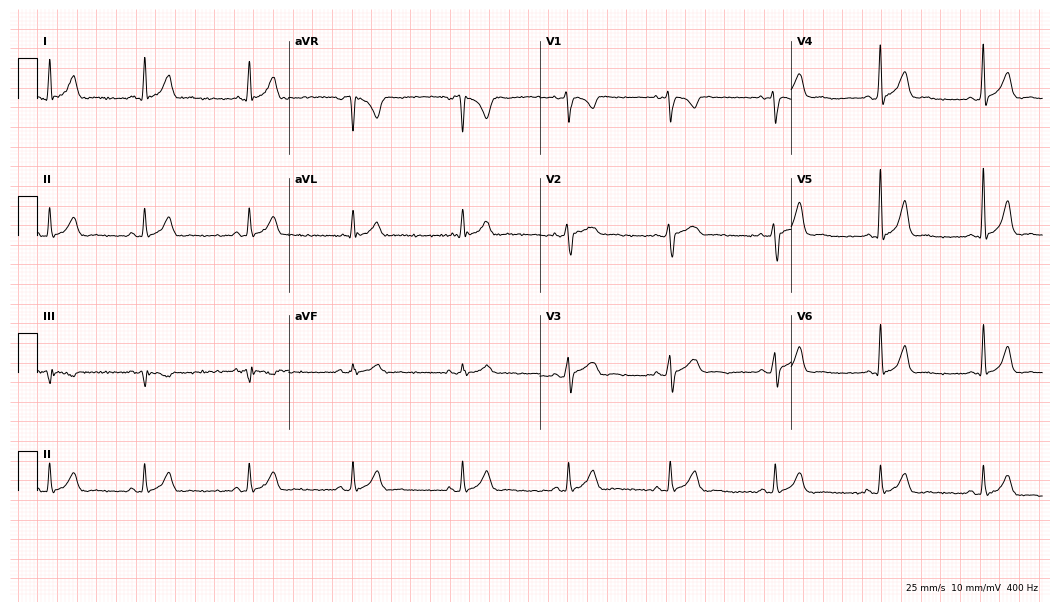
12-lead ECG from a 31-year-old male patient. Screened for six findings — first-degree AV block, right bundle branch block, left bundle branch block, sinus bradycardia, atrial fibrillation, sinus tachycardia — none is recorded. Findings outside these six are not listed.